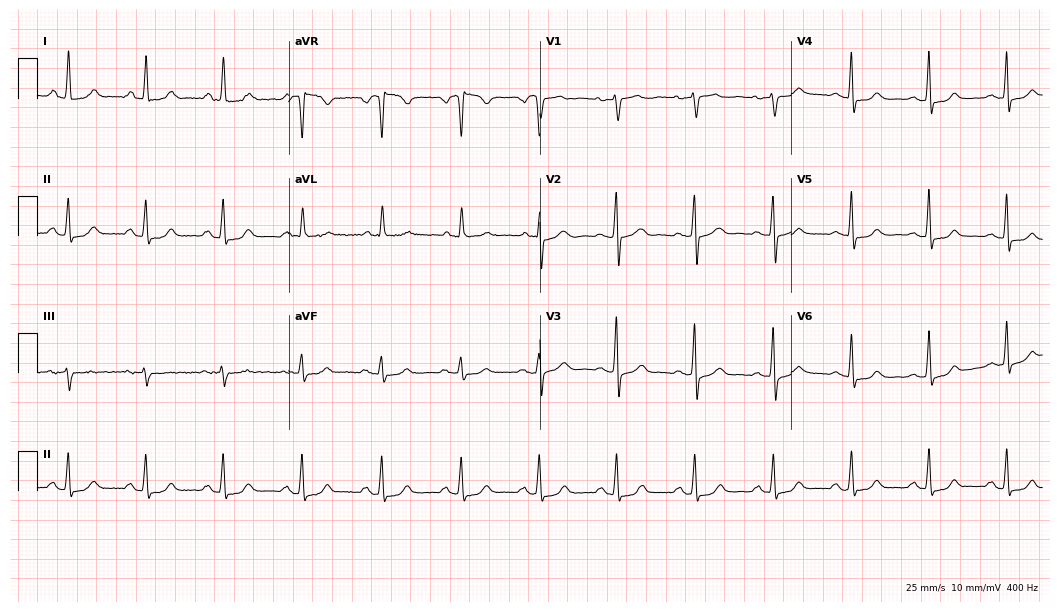
Standard 12-lead ECG recorded from a female patient, 44 years old (10.2-second recording at 400 Hz). None of these six findings is recorded: first-degree AV block, right bundle branch block, left bundle branch block, sinus bradycardia, atrial fibrillation, sinus tachycardia.